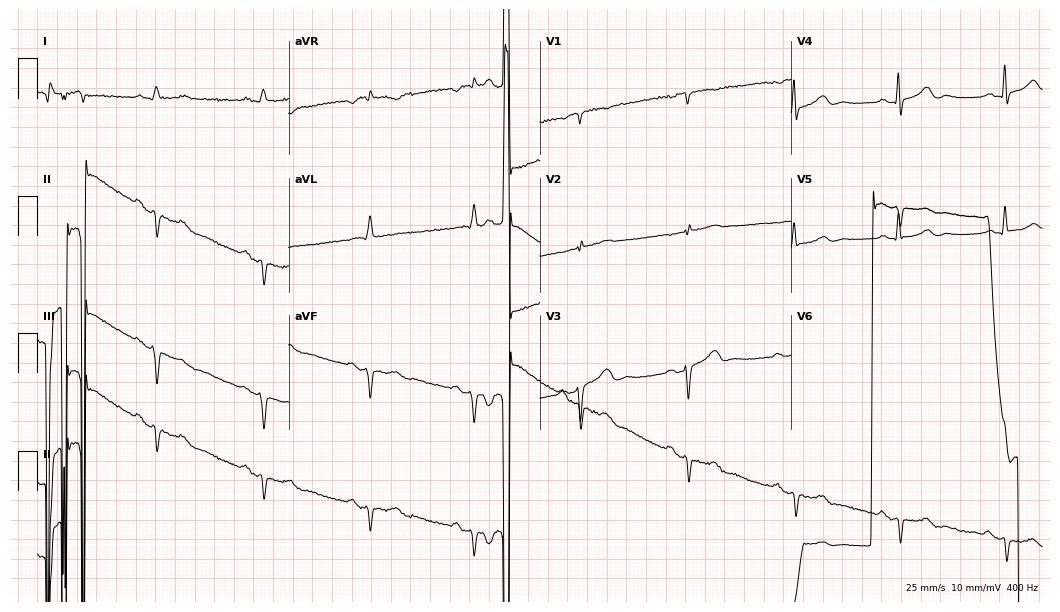
Electrocardiogram, a 67-year-old male patient. Of the six screened findings (first-degree AV block, right bundle branch block, left bundle branch block, sinus bradycardia, atrial fibrillation, sinus tachycardia), none is recorded.